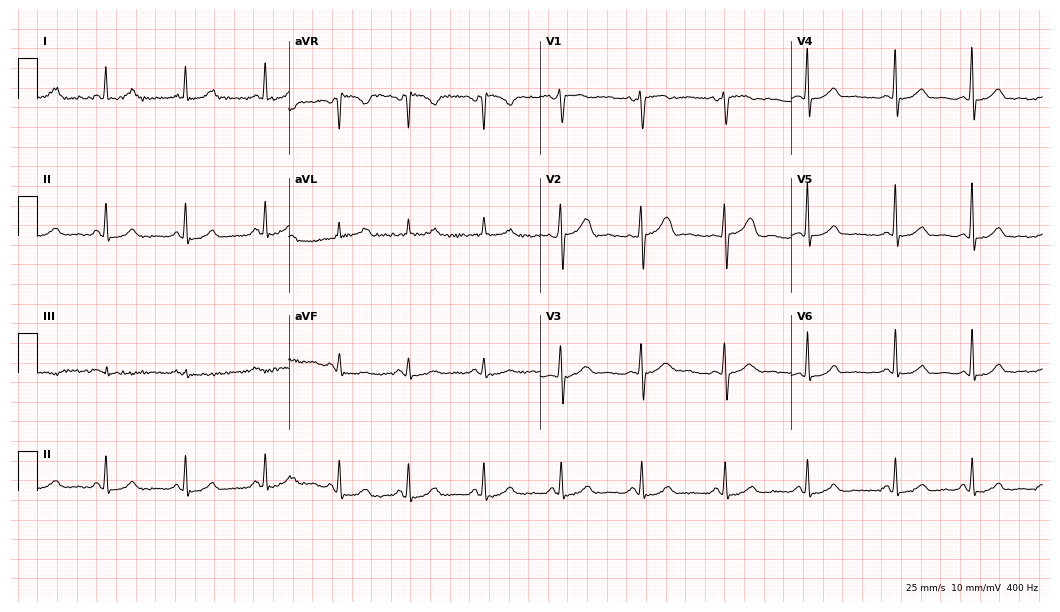
Standard 12-lead ECG recorded from a female patient, 38 years old (10.2-second recording at 400 Hz). Read as a normal ECG.